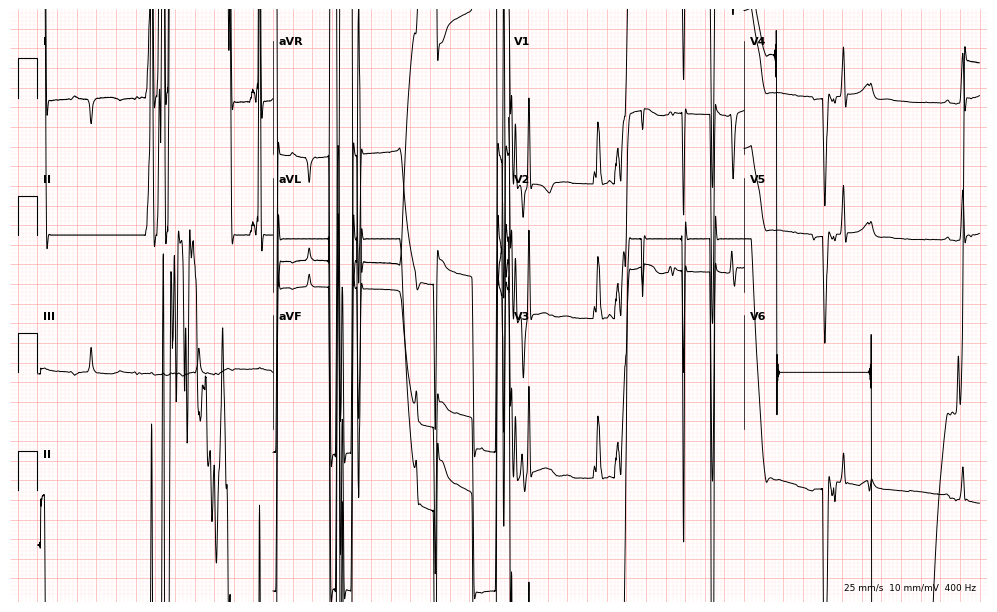
12-lead ECG from a 21-year-old man. Screened for six findings — first-degree AV block, right bundle branch block, left bundle branch block, sinus bradycardia, atrial fibrillation, sinus tachycardia — none is recorded.